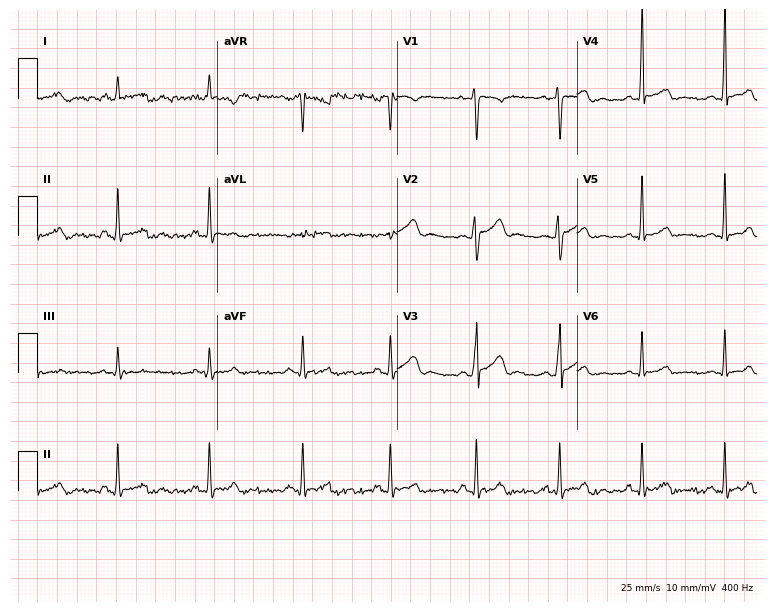
12-lead ECG from a male patient, 24 years old (7.3-second recording at 400 Hz). Recorded interpretation: within normal limits.